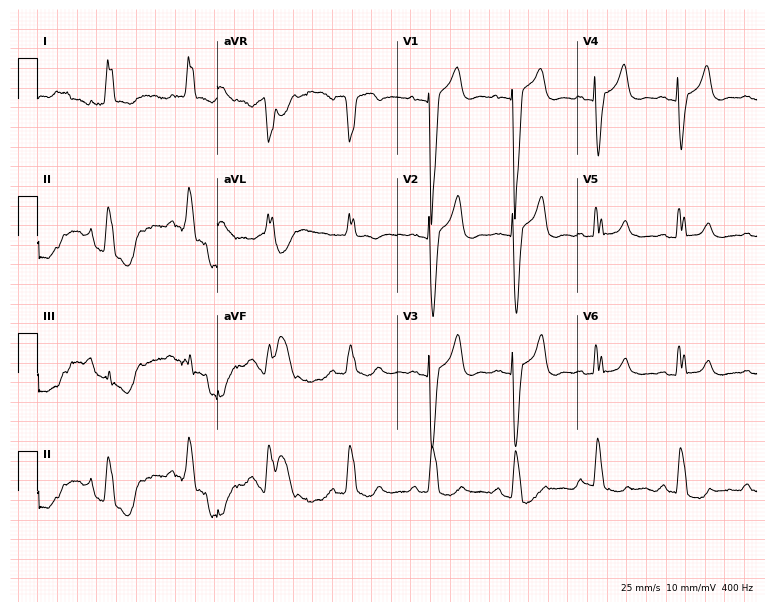
12-lead ECG from a female patient, 74 years old. Findings include left bundle branch block (LBBB).